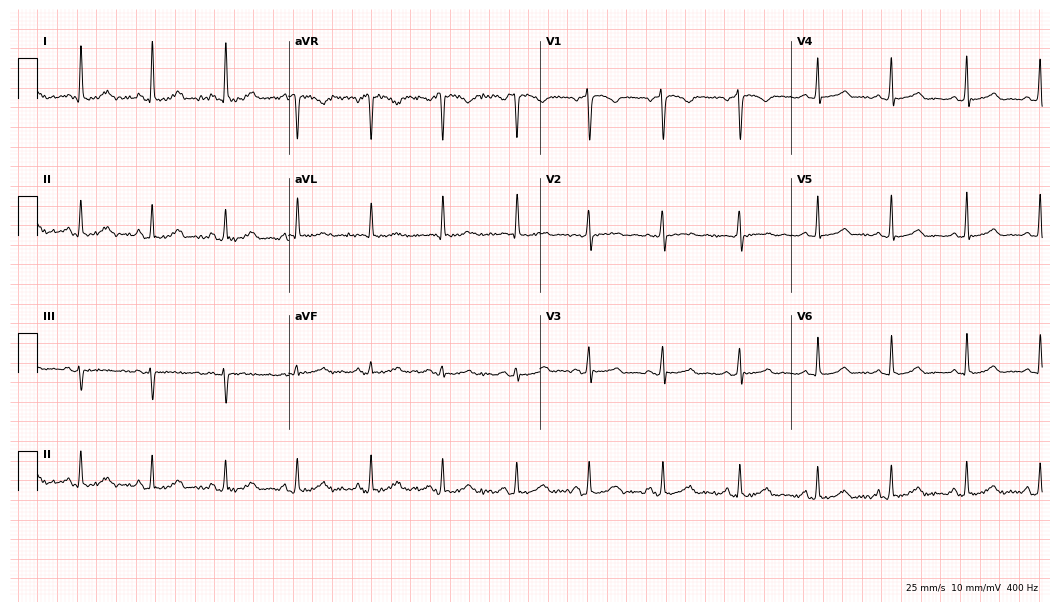
12-lead ECG from a 29-year-old female patient. Labelled as a normal ECG.